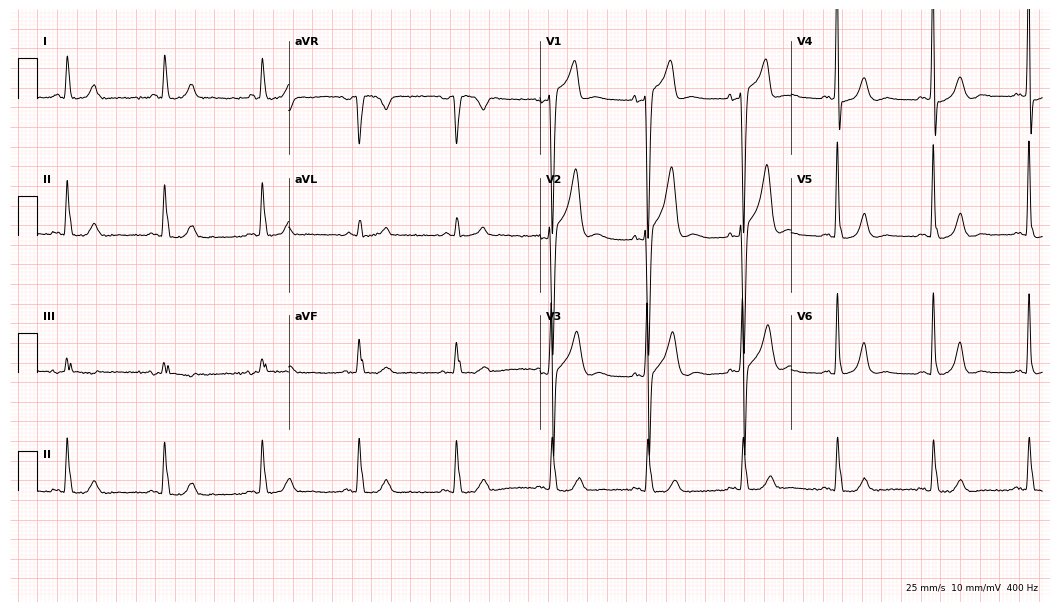
12-lead ECG (10.2-second recording at 400 Hz) from an 84-year-old male. Screened for six findings — first-degree AV block, right bundle branch block, left bundle branch block, sinus bradycardia, atrial fibrillation, sinus tachycardia — none is recorded. Only these six findings were labelled.